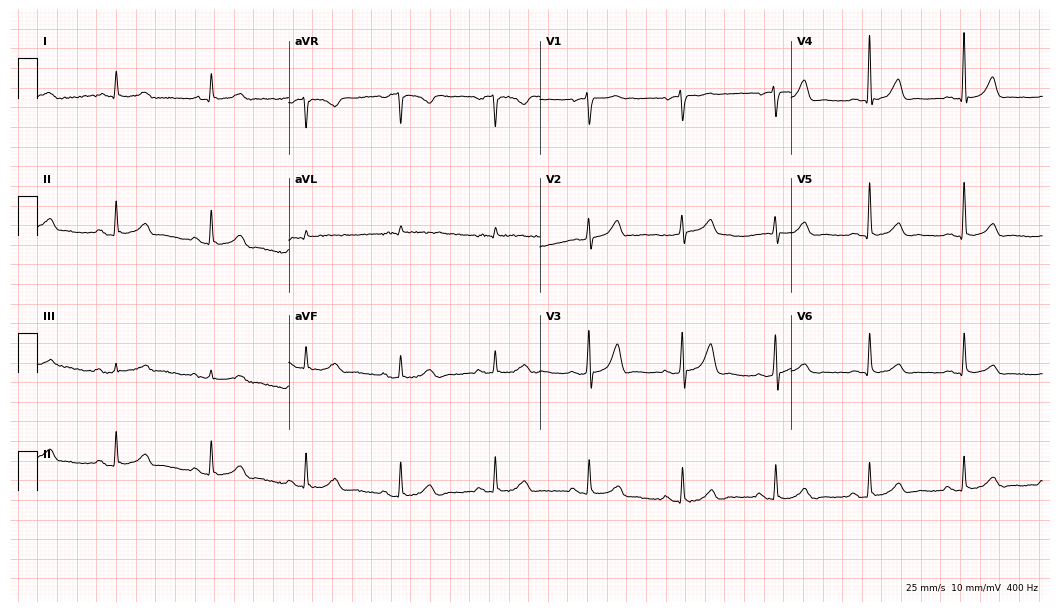
Standard 12-lead ECG recorded from an 80-year-old male patient. Read as a normal ECG.